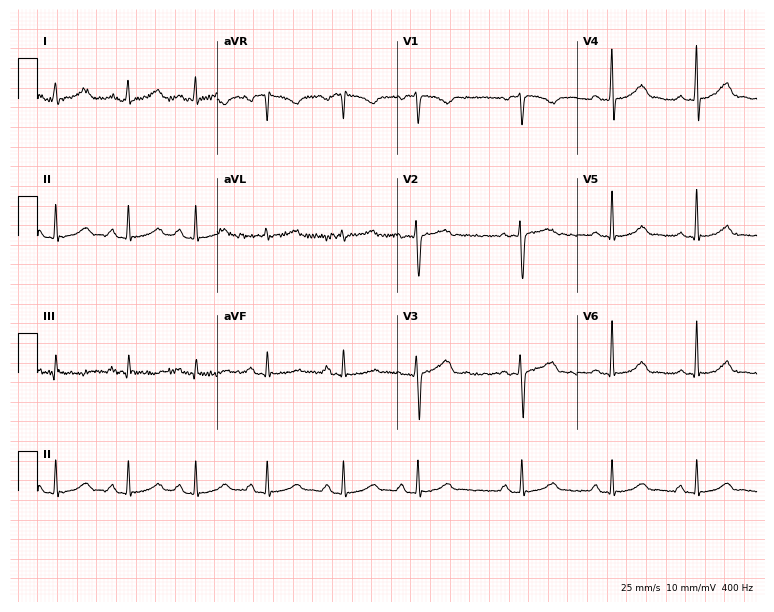
12-lead ECG from a woman, 22 years old. Screened for six findings — first-degree AV block, right bundle branch block, left bundle branch block, sinus bradycardia, atrial fibrillation, sinus tachycardia — none is recorded. Only these six findings were labelled.